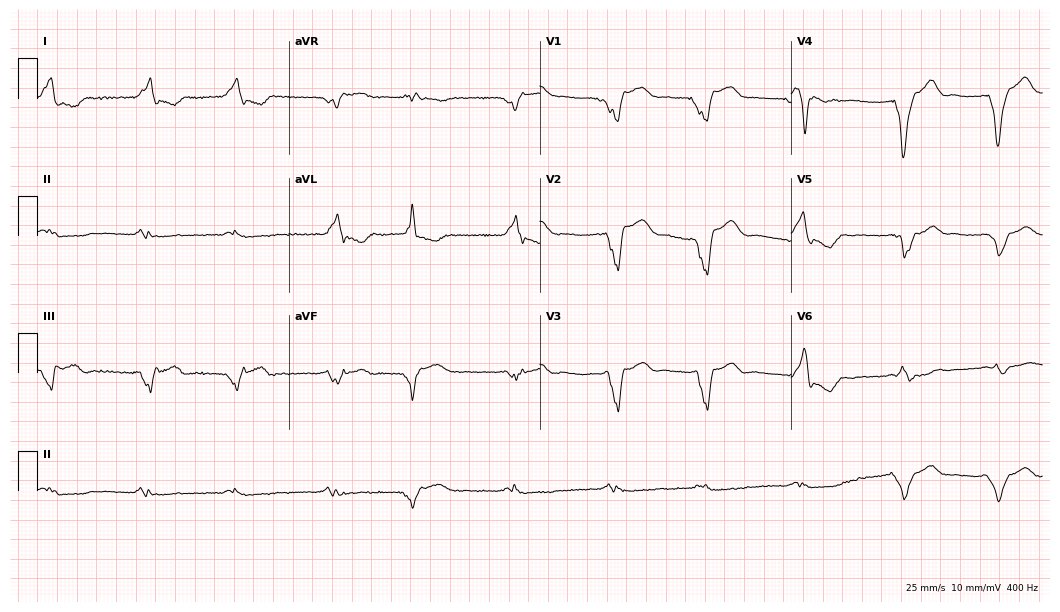
Electrocardiogram, a male, 44 years old. Of the six screened findings (first-degree AV block, right bundle branch block (RBBB), left bundle branch block (LBBB), sinus bradycardia, atrial fibrillation (AF), sinus tachycardia), none is recorded.